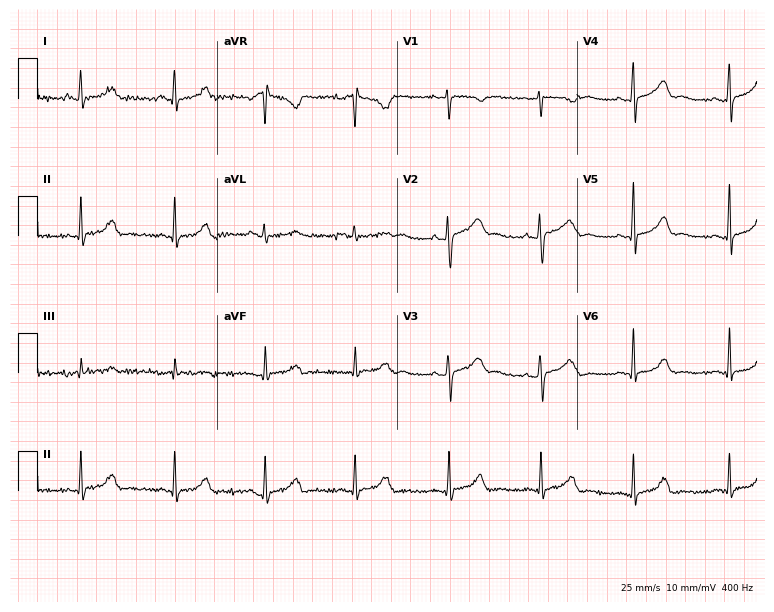
12-lead ECG from a 42-year-old woman. Screened for six findings — first-degree AV block, right bundle branch block, left bundle branch block, sinus bradycardia, atrial fibrillation, sinus tachycardia — none is recorded.